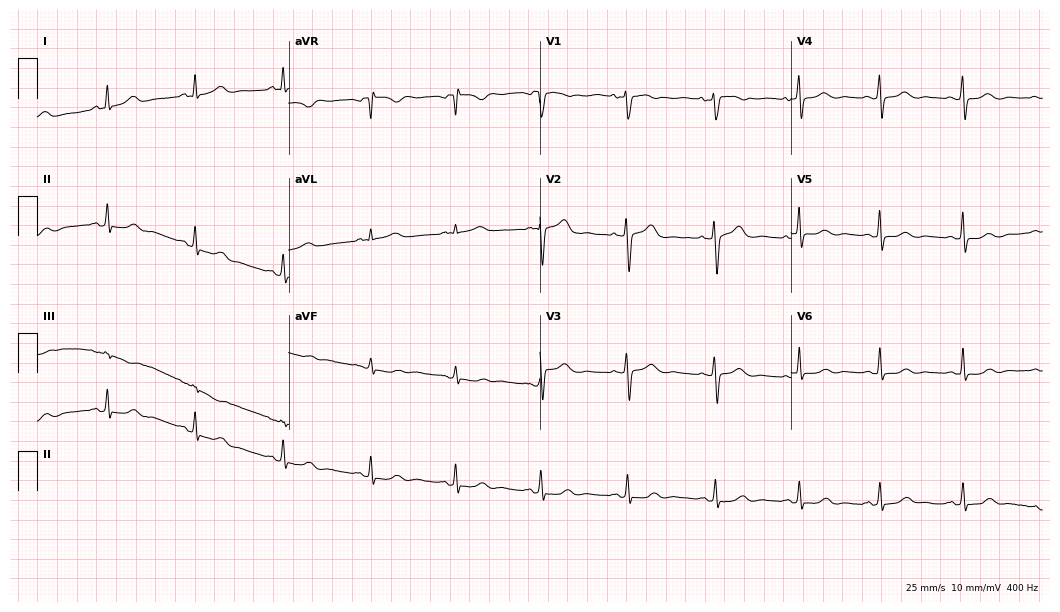
ECG — a 55-year-old female patient. Labelled as a normal ECG.